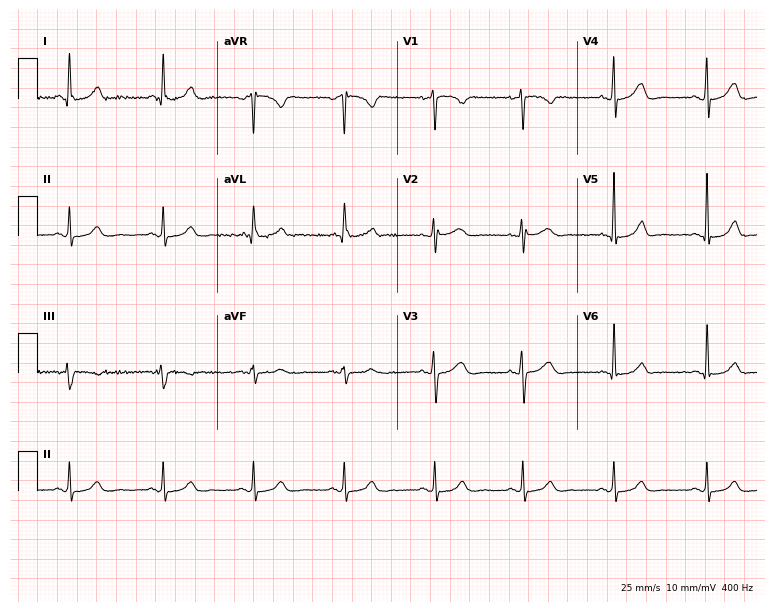
ECG — a female patient, 41 years old. Labelled as a normal ECG.